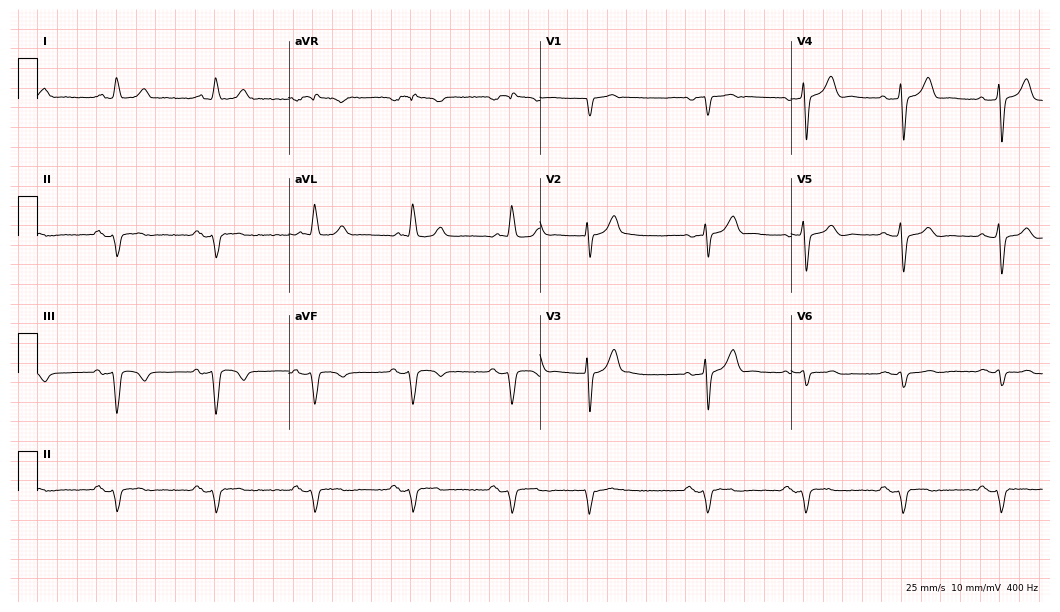
Standard 12-lead ECG recorded from an 82-year-old man (10.2-second recording at 400 Hz). The tracing shows left bundle branch block (LBBB).